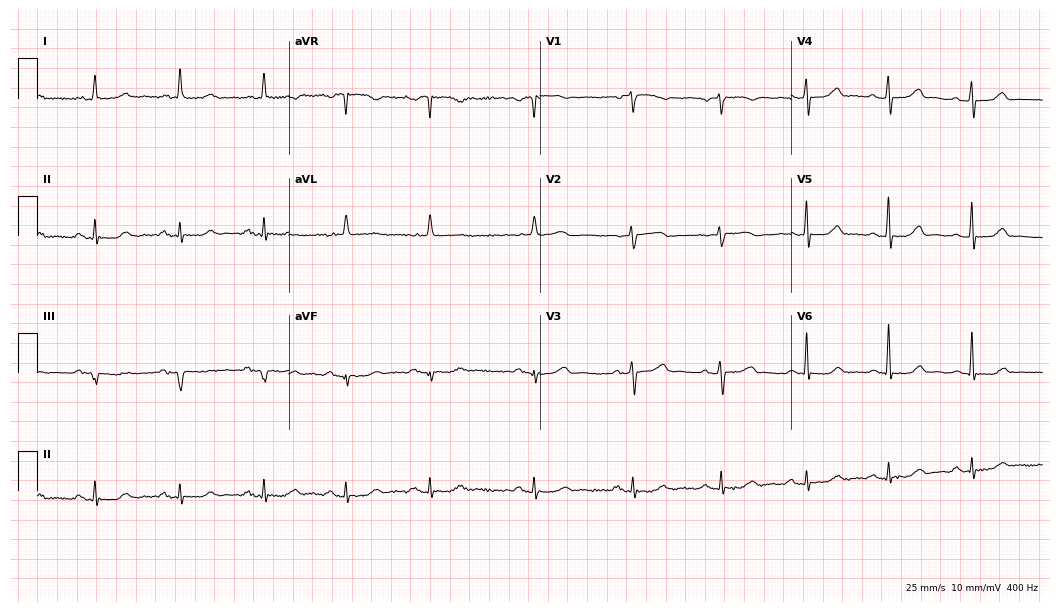
12-lead ECG from a 77-year-old female (10.2-second recording at 400 Hz). No first-degree AV block, right bundle branch block, left bundle branch block, sinus bradycardia, atrial fibrillation or sinus tachycardia recorded for this tracing.